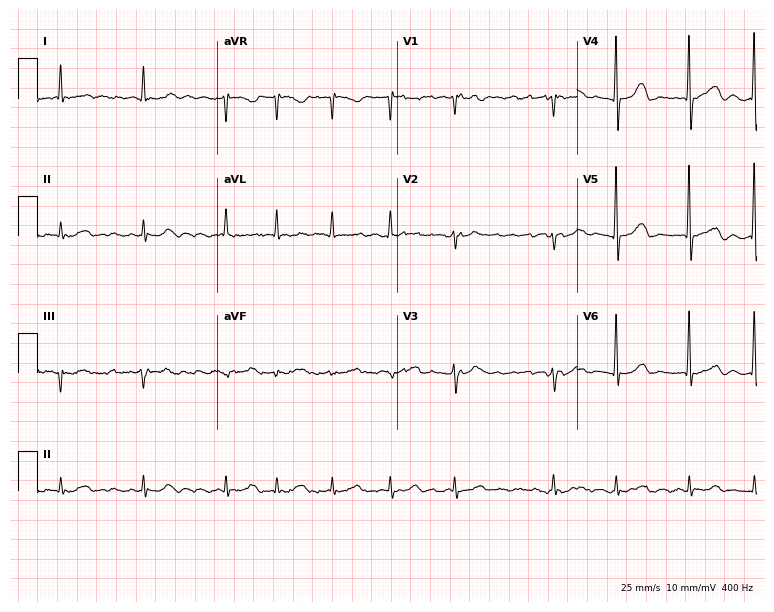
ECG (7.3-second recording at 400 Hz) — a 78-year-old female patient. Findings include atrial fibrillation.